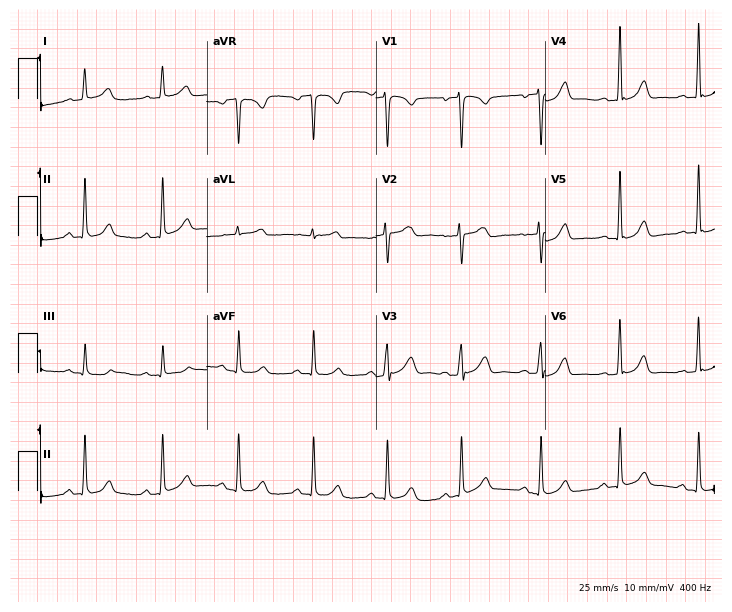
12-lead ECG from a female, 35 years old. No first-degree AV block, right bundle branch block (RBBB), left bundle branch block (LBBB), sinus bradycardia, atrial fibrillation (AF) or sinus tachycardia recorded for this tracing.